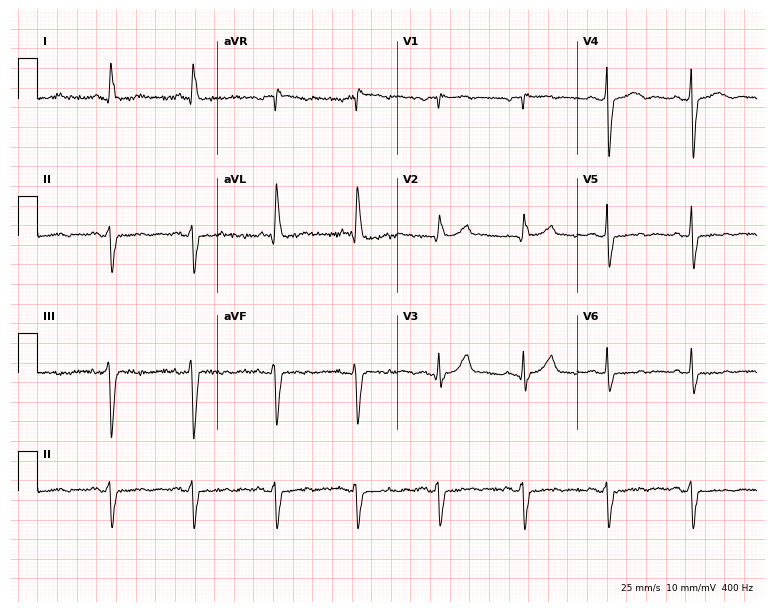
Resting 12-lead electrocardiogram. Patient: a female, 60 years old. None of these six findings is recorded: first-degree AV block, right bundle branch block, left bundle branch block, sinus bradycardia, atrial fibrillation, sinus tachycardia. Other findings, if any, are not listed.